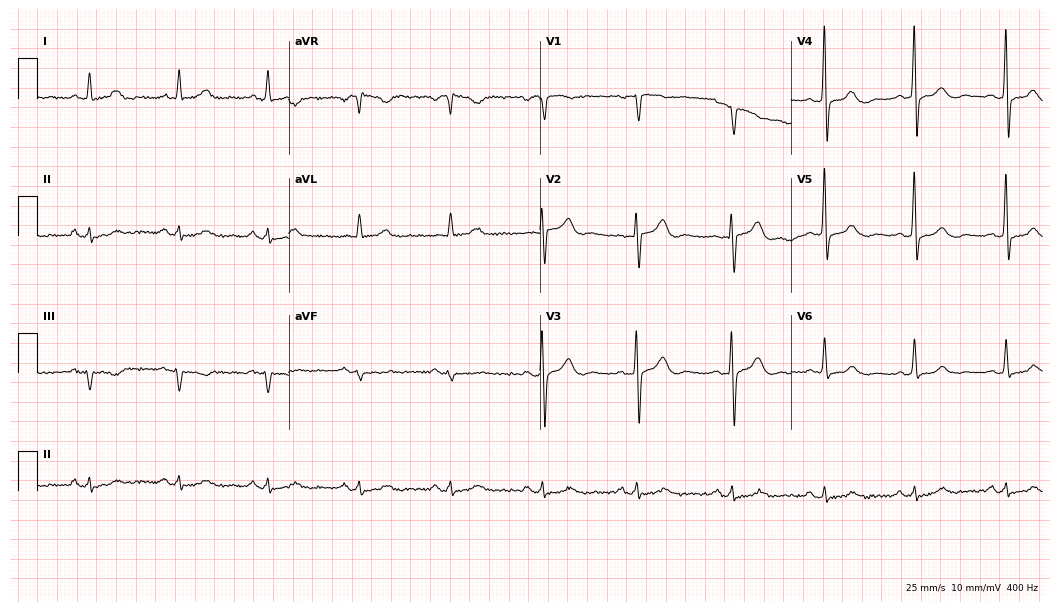
12-lead ECG from a male, 64 years old. Recorded interpretation: within normal limits.